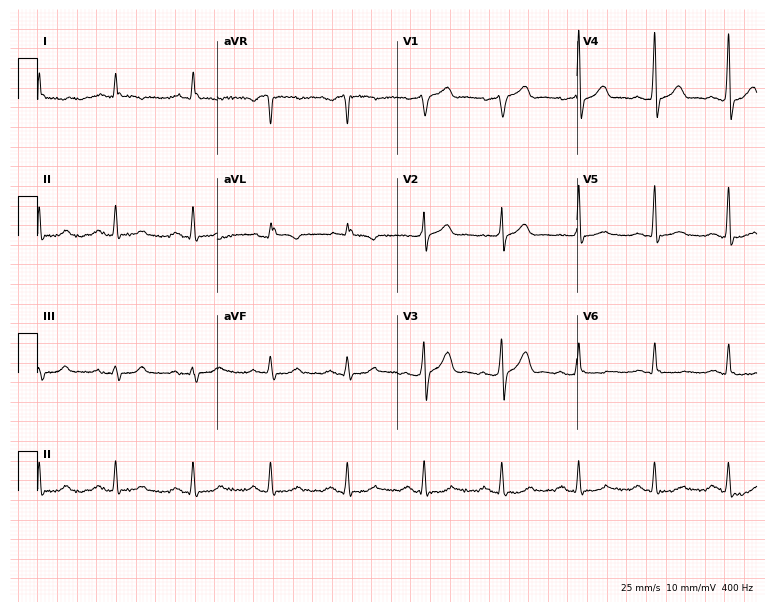
Standard 12-lead ECG recorded from a male patient, 70 years old (7.3-second recording at 400 Hz). None of these six findings is recorded: first-degree AV block, right bundle branch block, left bundle branch block, sinus bradycardia, atrial fibrillation, sinus tachycardia.